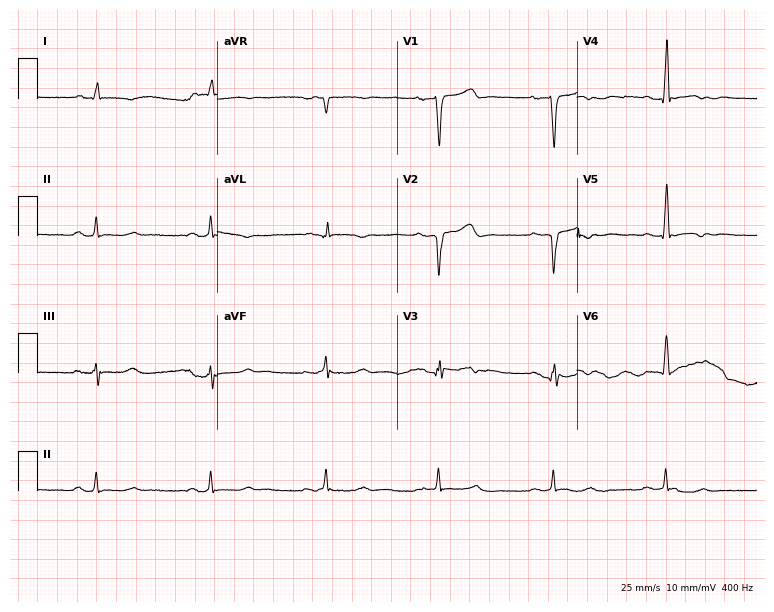
Electrocardiogram, a 64-year-old male. Of the six screened findings (first-degree AV block, right bundle branch block (RBBB), left bundle branch block (LBBB), sinus bradycardia, atrial fibrillation (AF), sinus tachycardia), none is recorded.